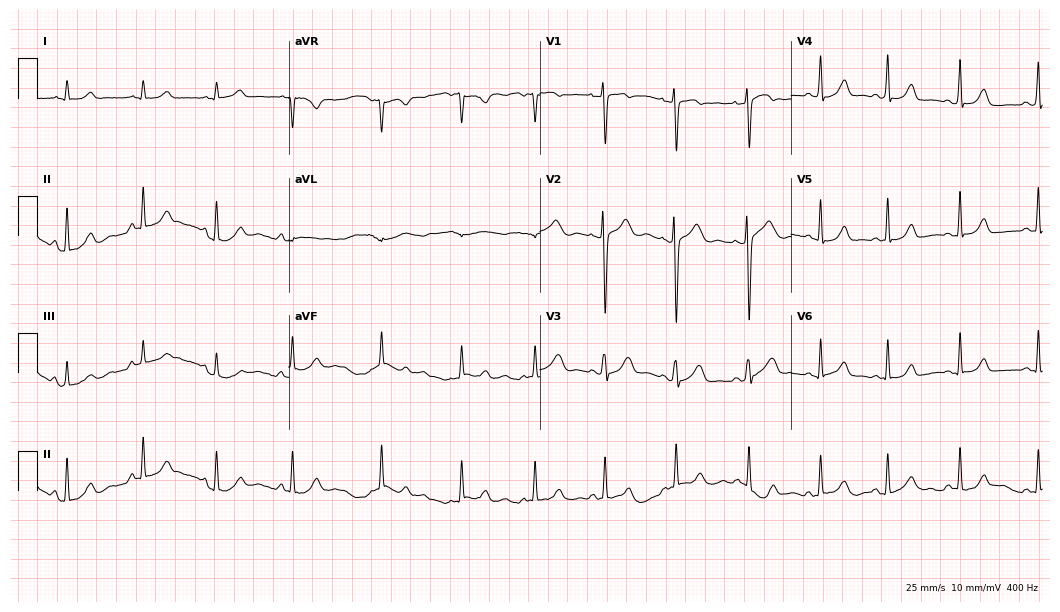
Electrocardiogram (10.2-second recording at 400 Hz), a female, 26 years old. Overall reading on record: normal ECG.